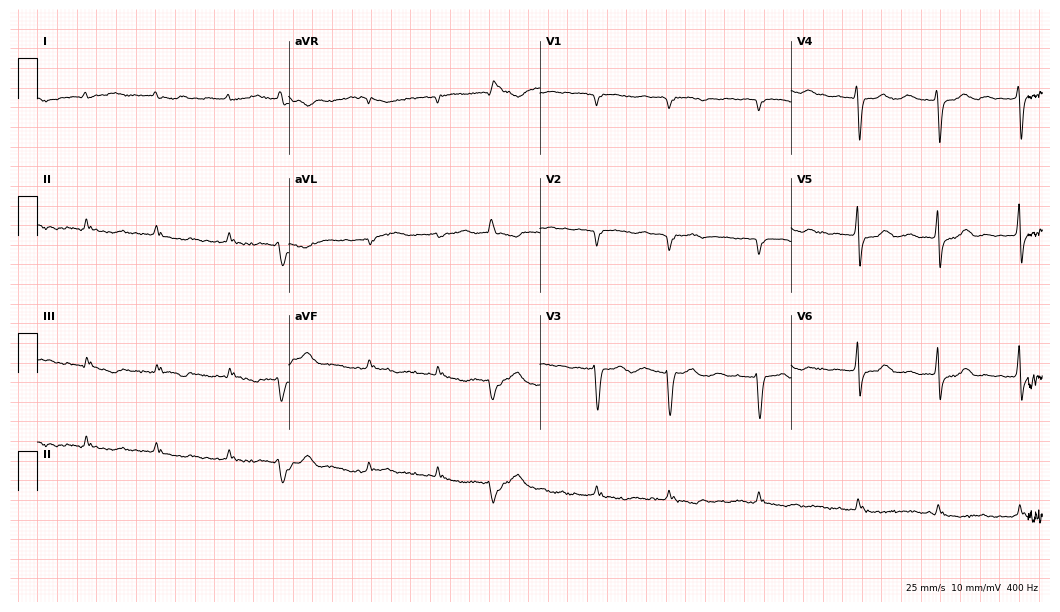
ECG — an 85-year-old man. Screened for six findings — first-degree AV block, right bundle branch block, left bundle branch block, sinus bradycardia, atrial fibrillation, sinus tachycardia — none is recorded.